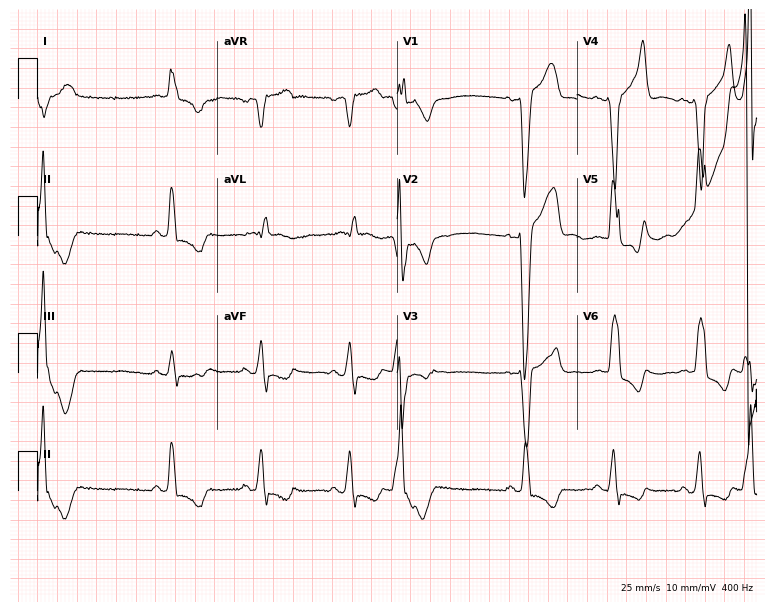
ECG (7.3-second recording at 400 Hz) — a male, 65 years old. Findings include left bundle branch block (LBBB).